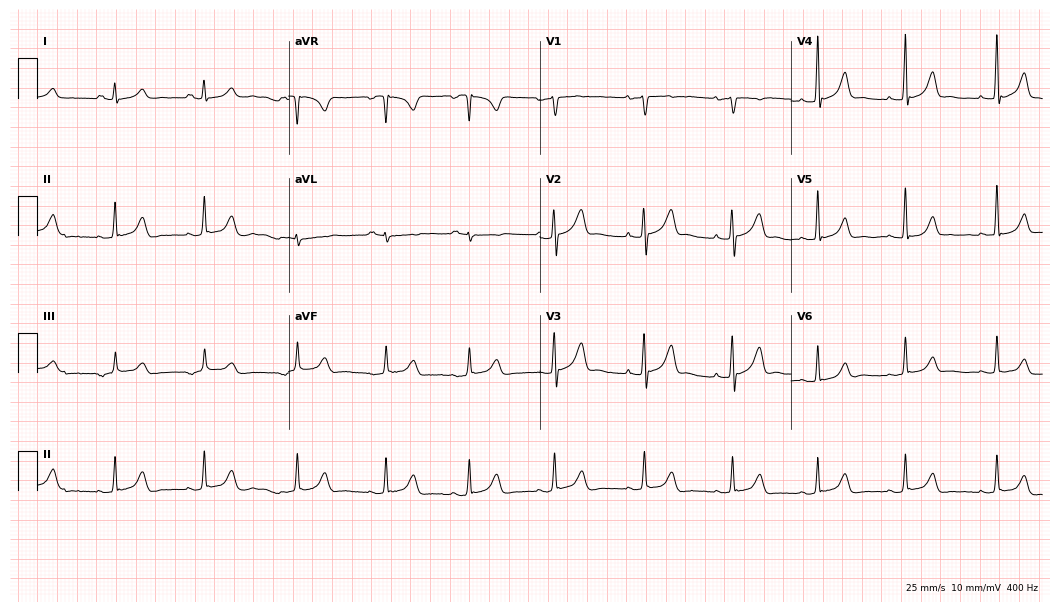
12-lead ECG (10.2-second recording at 400 Hz) from a 30-year-old female. Screened for six findings — first-degree AV block, right bundle branch block, left bundle branch block, sinus bradycardia, atrial fibrillation, sinus tachycardia — none is recorded.